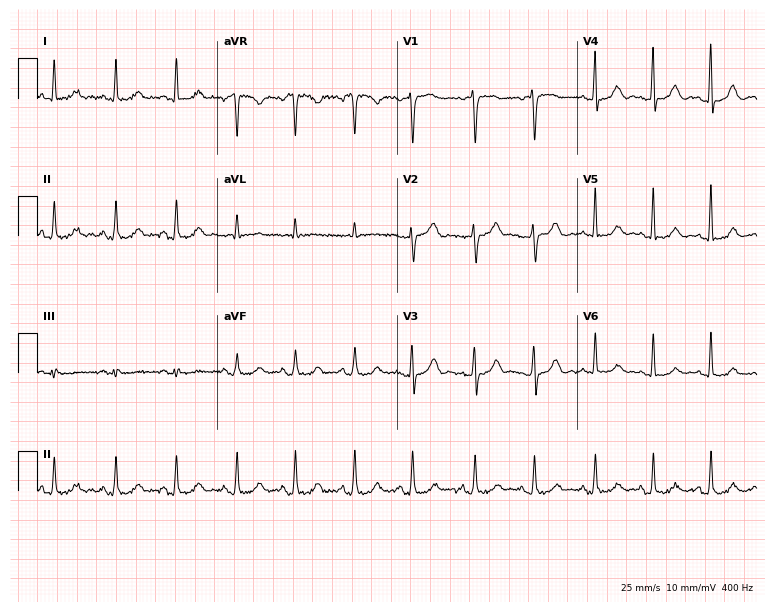
12-lead ECG from a 58-year-old female. No first-degree AV block, right bundle branch block, left bundle branch block, sinus bradycardia, atrial fibrillation or sinus tachycardia recorded for this tracing.